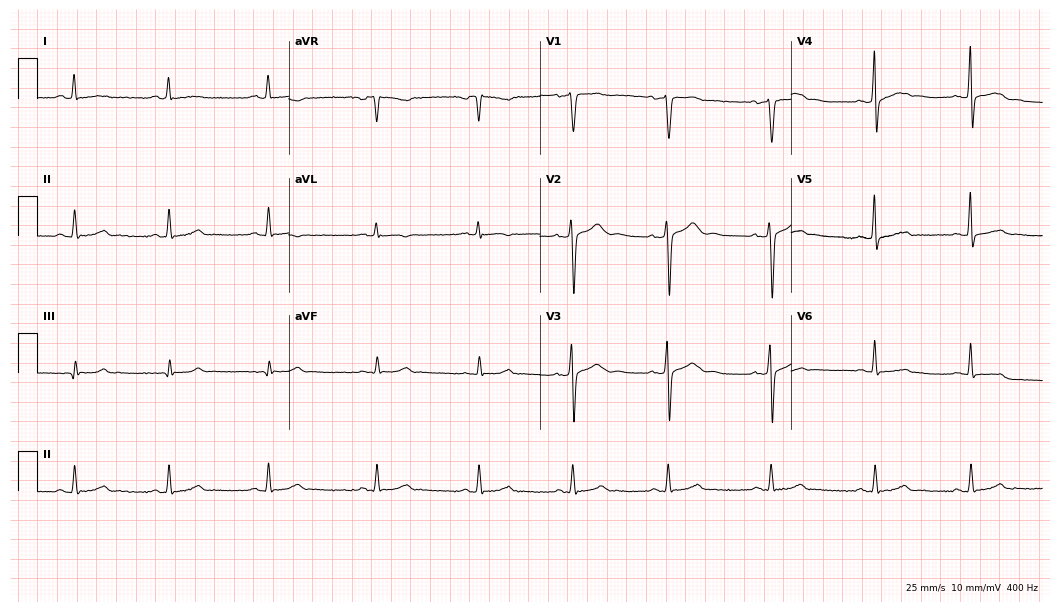
12-lead ECG from a male patient, 37 years old. Screened for six findings — first-degree AV block, right bundle branch block, left bundle branch block, sinus bradycardia, atrial fibrillation, sinus tachycardia — none is recorded.